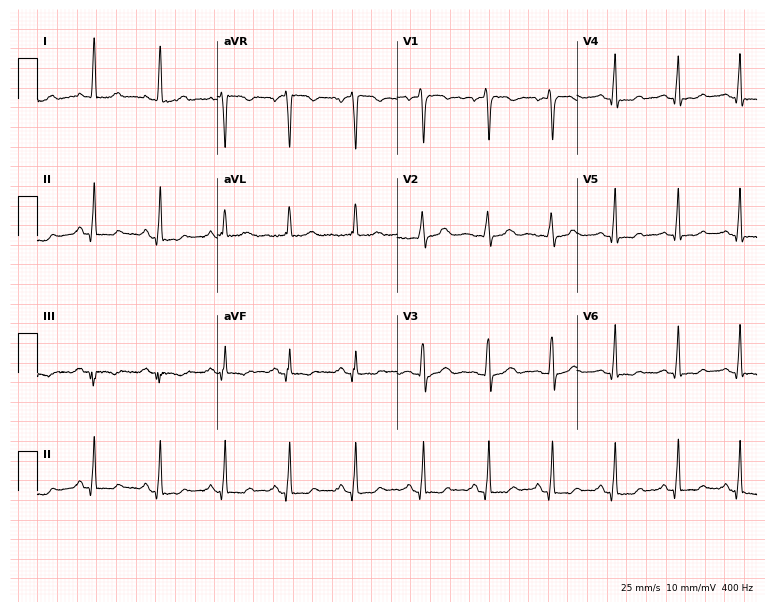
Resting 12-lead electrocardiogram (7.3-second recording at 400 Hz). Patient: a female, 50 years old. None of these six findings is recorded: first-degree AV block, right bundle branch block, left bundle branch block, sinus bradycardia, atrial fibrillation, sinus tachycardia.